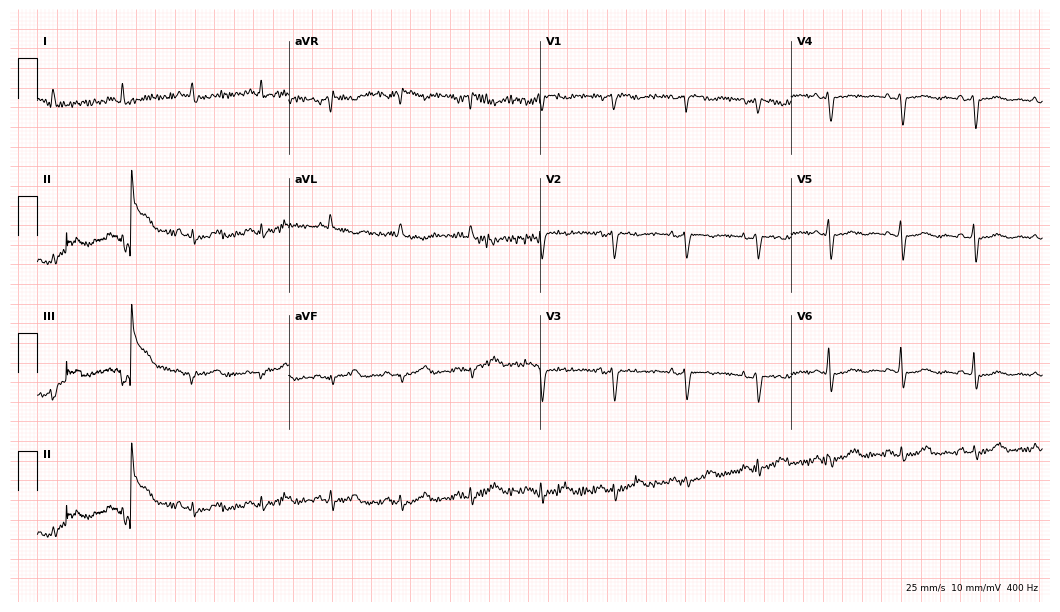
ECG (10.2-second recording at 400 Hz) — a female, 76 years old. Screened for six findings — first-degree AV block, right bundle branch block (RBBB), left bundle branch block (LBBB), sinus bradycardia, atrial fibrillation (AF), sinus tachycardia — none is recorded.